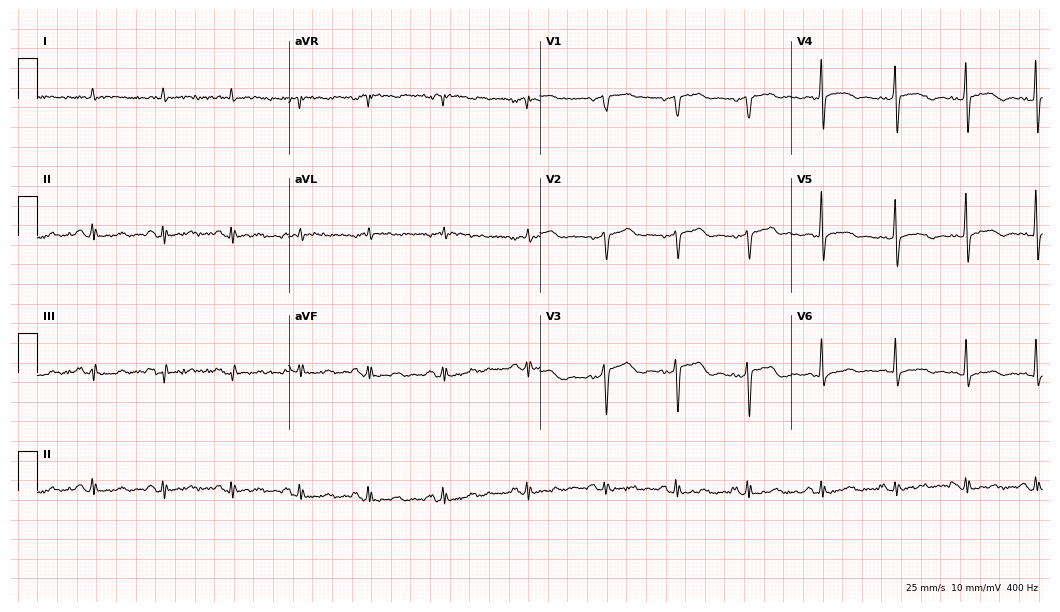
12-lead ECG (10.2-second recording at 400 Hz) from a male patient, 66 years old. Screened for six findings — first-degree AV block, right bundle branch block (RBBB), left bundle branch block (LBBB), sinus bradycardia, atrial fibrillation (AF), sinus tachycardia — none is recorded.